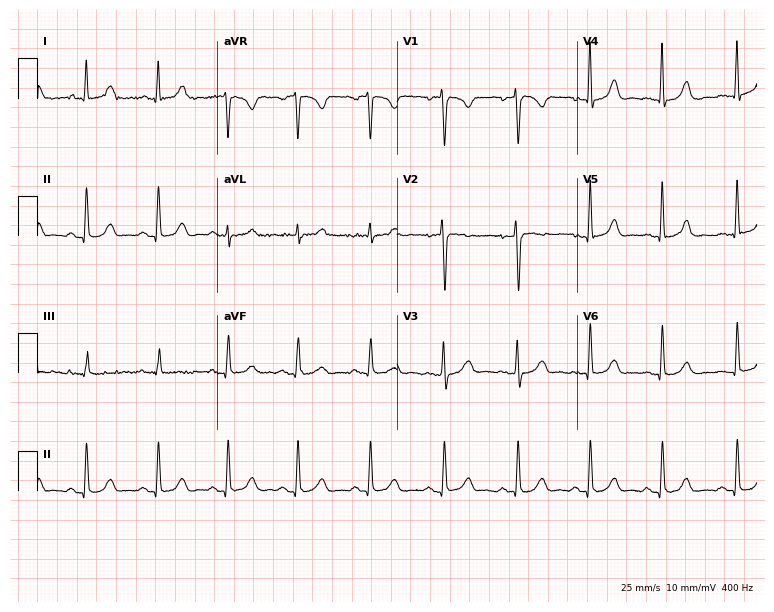
Electrocardiogram, a woman, 45 years old. Overall reading on record: normal ECG.